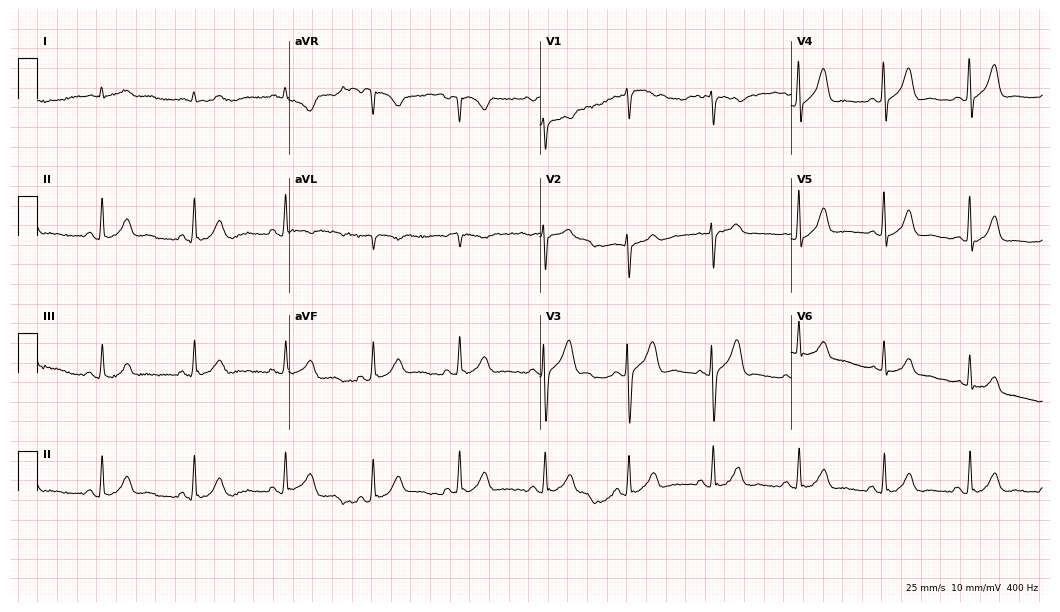
12-lead ECG (10.2-second recording at 400 Hz) from a 59-year-old male. Labelled as a normal ECG.